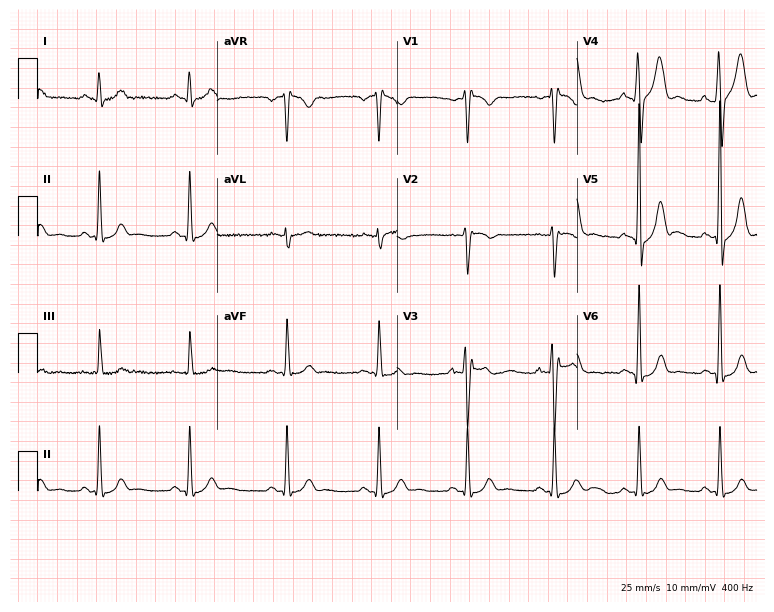
ECG (7.3-second recording at 400 Hz) — a 31-year-old male. Screened for six findings — first-degree AV block, right bundle branch block (RBBB), left bundle branch block (LBBB), sinus bradycardia, atrial fibrillation (AF), sinus tachycardia — none is recorded. Only these six findings were labelled.